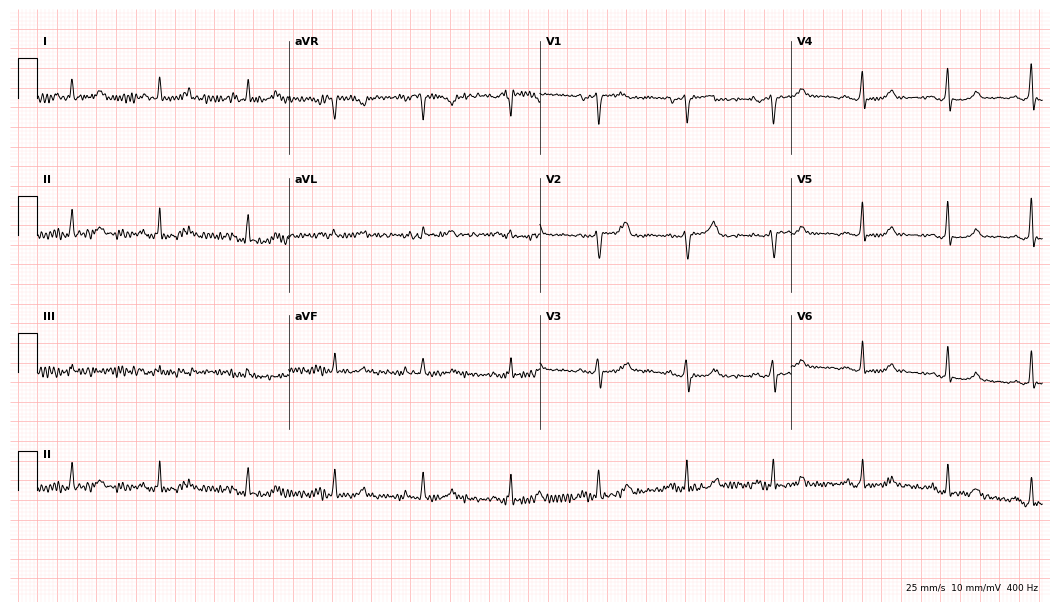
Standard 12-lead ECG recorded from a female patient, 73 years old (10.2-second recording at 400 Hz). Read as a normal ECG.